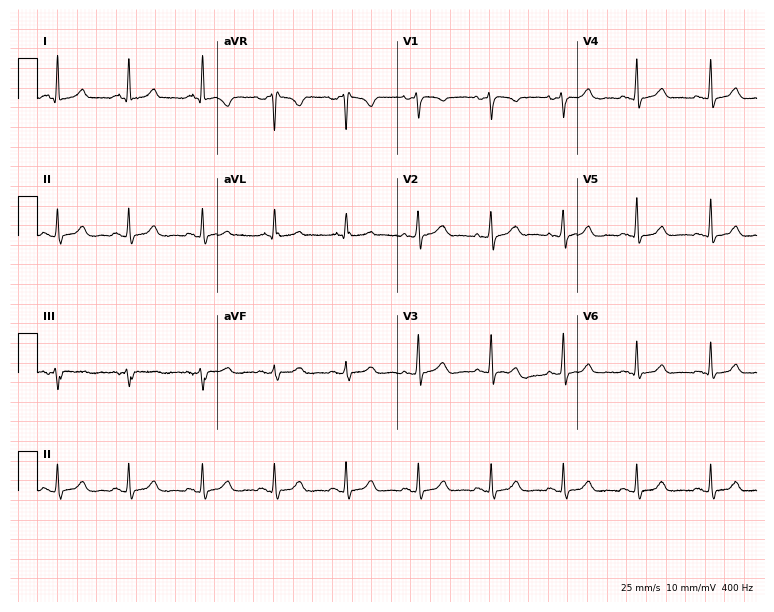
ECG — a female, 36 years old. Labelled as a normal ECG.